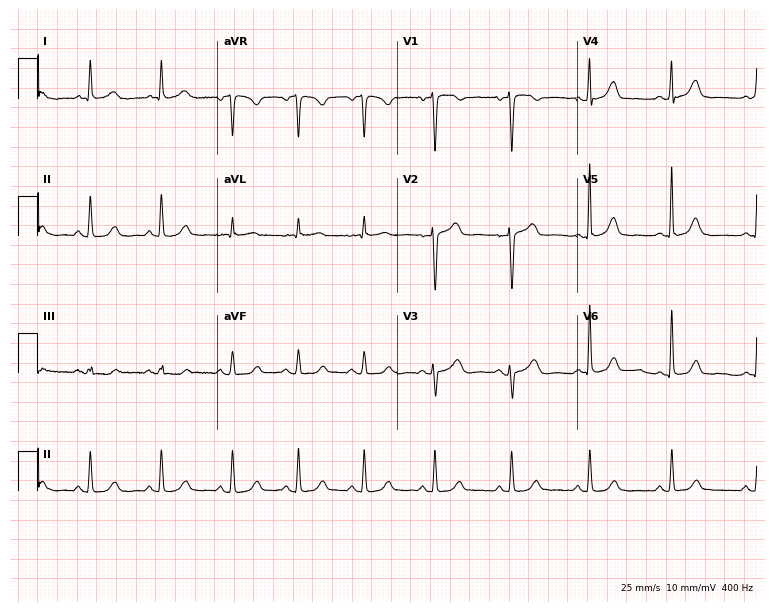
12-lead ECG from a woman, 82 years old. Recorded interpretation: within normal limits.